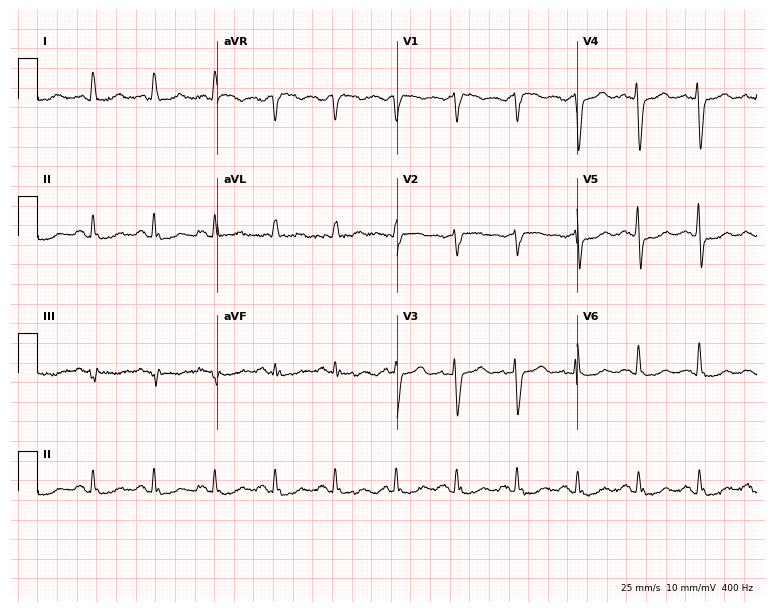
ECG (7.3-second recording at 400 Hz) — a 70-year-old woman. Screened for six findings — first-degree AV block, right bundle branch block, left bundle branch block, sinus bradycardia, atrial fibrillation, sinus tachycardia — none is recorded.